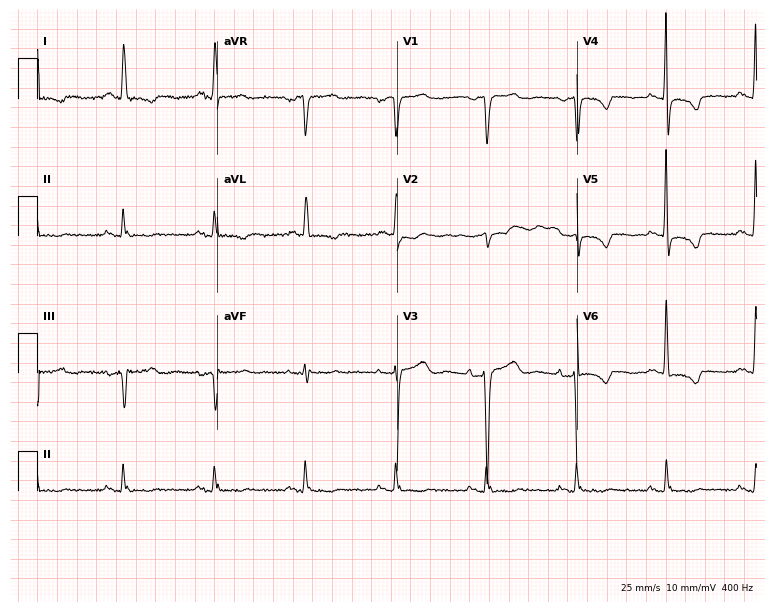
12-lead ECG from a female patient, 63 years old (7.3-second recording at 400 Hz). No first-degree AV block, right bundle branch block, left bundle branch block, sinus bradycardia, atrial fibrillation or sinus tachycardia recorded for this tracing.